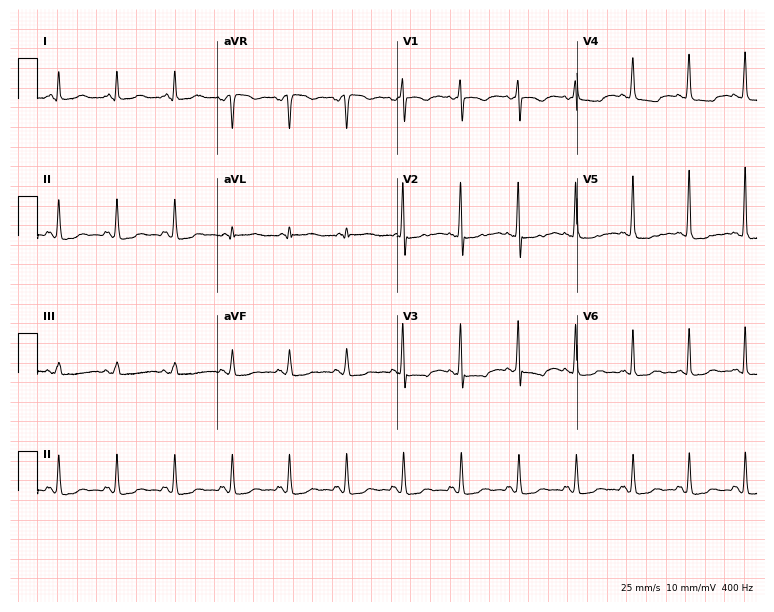
Resting 12-lead electrocardiogram. Patient: a 53-year-old female. The tracing shows sinus tachycardia (a sinus rate of 100 beats per minute or more).